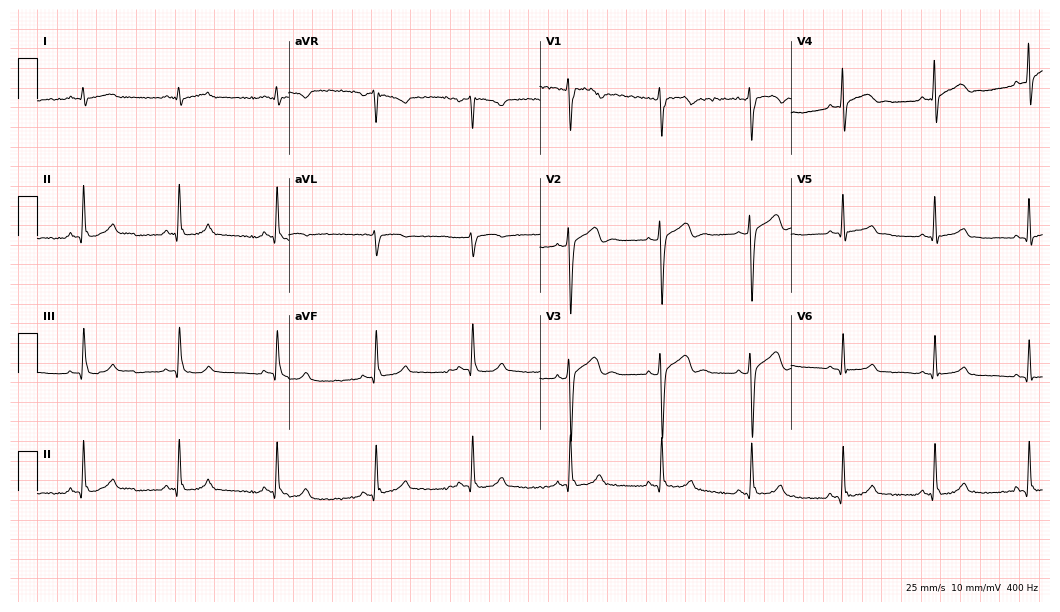
Standard 12-lead ECG recorded from a man, 20 years old (10.2-second recording at 400 Hz). Read as a normal ECG.